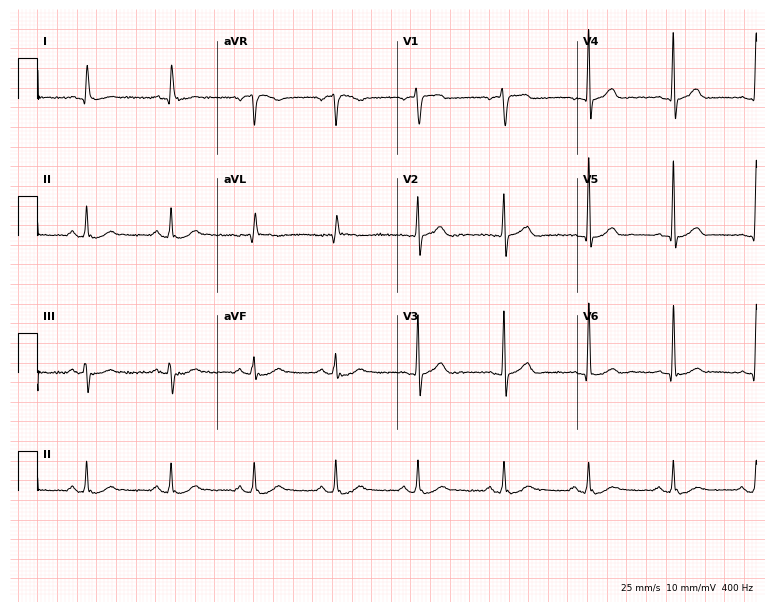
12-lead ECG from a 62-year-old male. Labelled as a normal ECG.